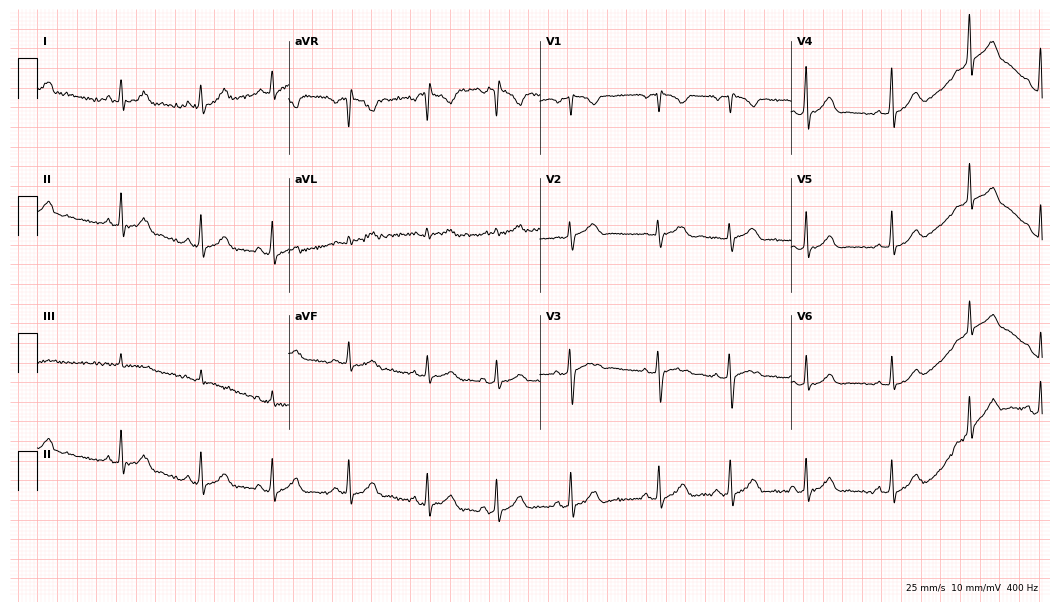
Resting 12-lead electrocardiogram. Patient: a 17-year-old female. None of these six findings is recorded: first-degree AV block, right bundle branch block, left bundle branch block, sinus bradycardia, atrial fibrillation, sinus tachycardia.